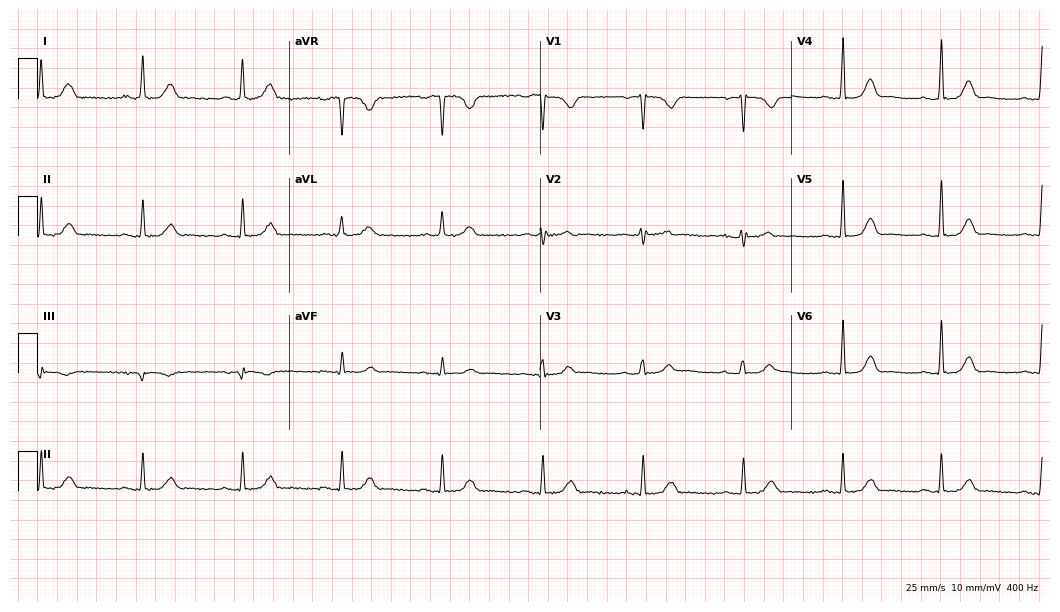
12-lead ECG from a 69-year-old female patient. Recorded interpretation: within normal limits.